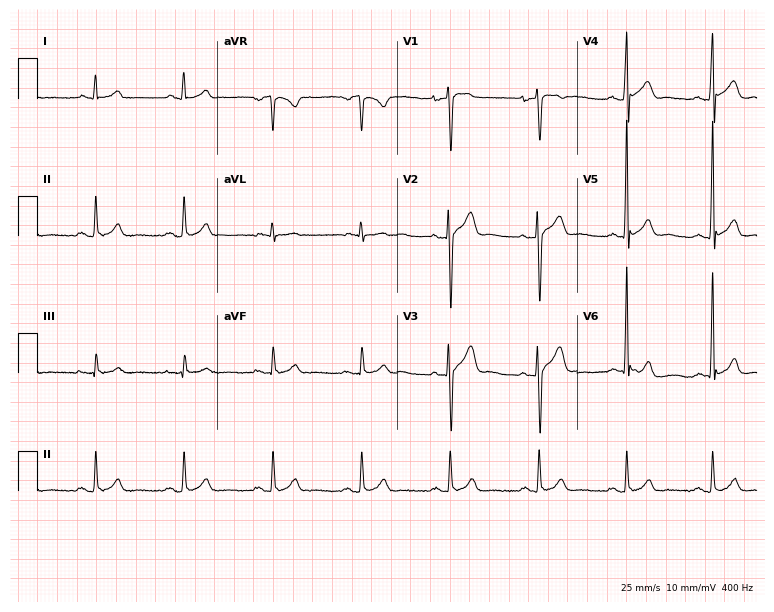
12-lead ECG from a man, 41 years old. Screened for six findings — first-degree AV block, right bundle branch block, left bundle branch block, sinus bradycardia, atrial fibrillation, sinus tachycardia — none is recorded.